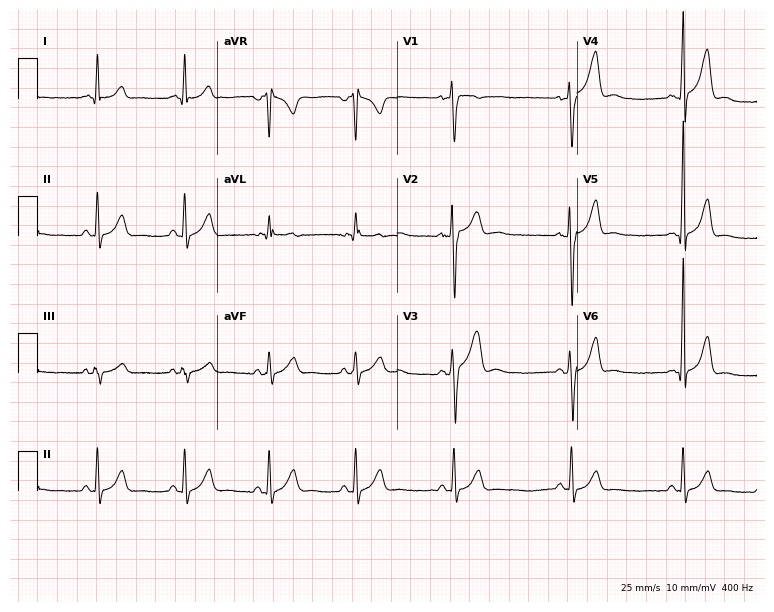
Standard 12-lead ECG recorded from a 19-year-old man. Read as a normal ECG.